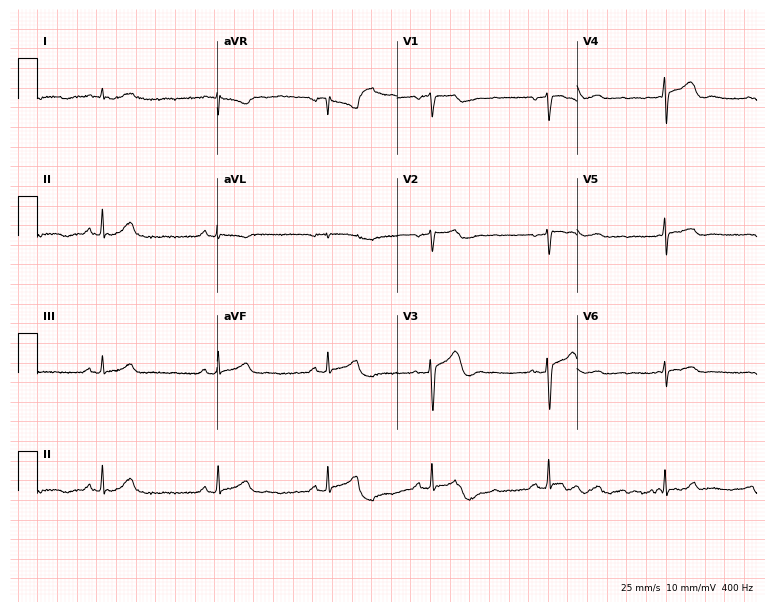
Standard 12-lead ECG recorded from a 46-year-old man. Read as a normal ECG.